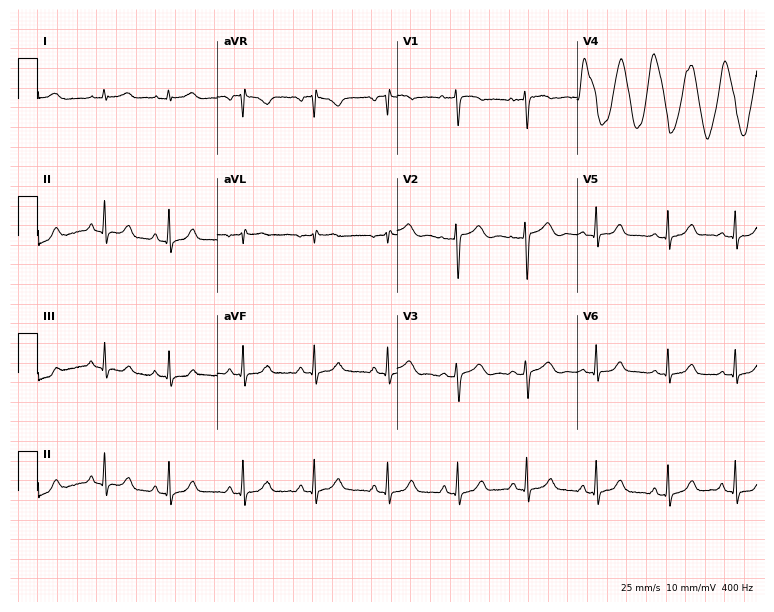
ECG — a female patient, 26 years old. Screened for six findings — first-degree AV block, right bundle branch block (RBBB), left bundle branch block (LBBB), sinus bradycardia, atrial fibrillation (AF), sinus tachycardia — none is recorded. Only these six findings were labelled.